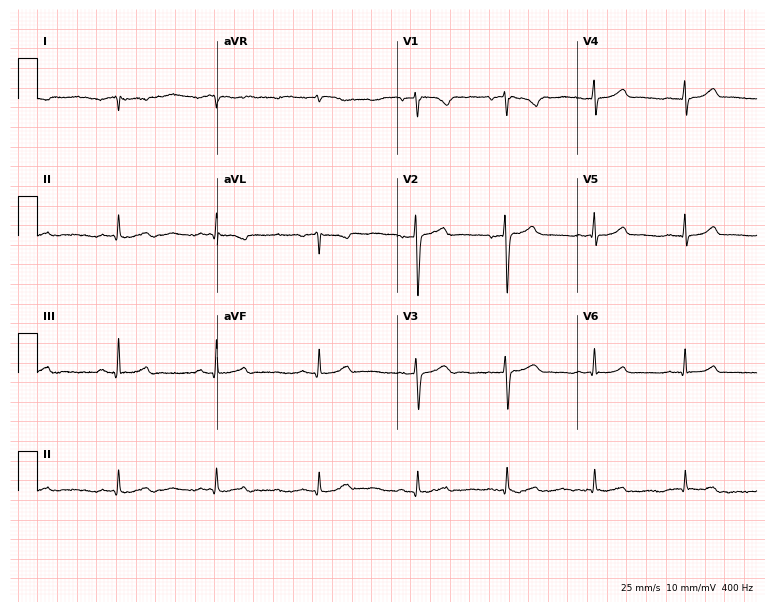
12-lead ECG from a woman, 43 years old. Screened for six findings — first-degree AV block, right bundle branch block, left bundle branch block, sinus bradycardia, atrial fibrillation, sinus tachycardia — none is recorded.